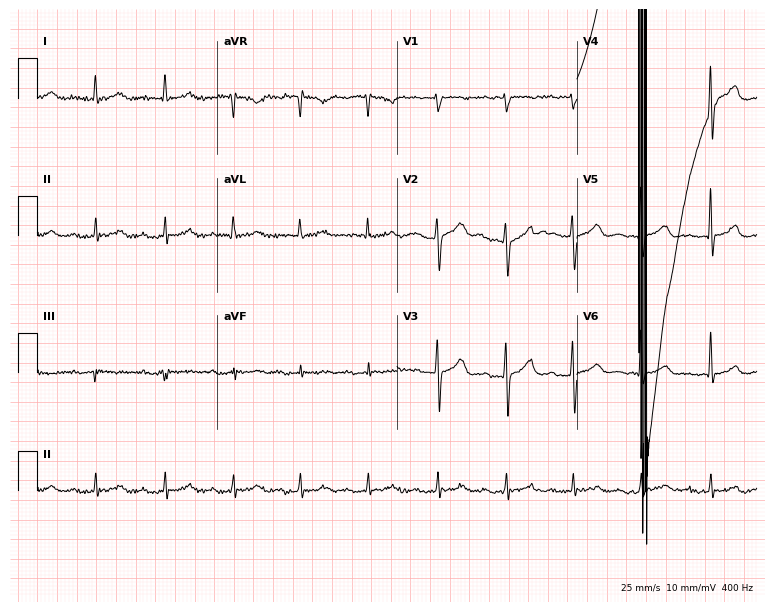
Resting 12-lead electrocardiogram. Patient: a man, 82 years old. None of these six findings is recorded: first-degree AV block, right bundle branch block, left bundle branch block, sinus bradycardia, atrial fibrillation, sinus tachycardia.